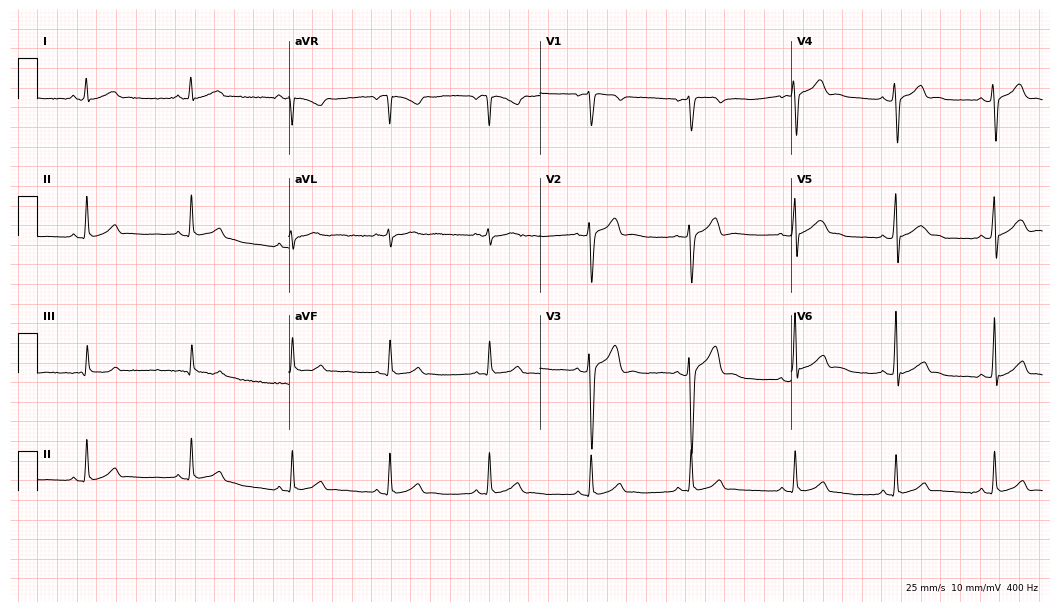
12-lead ECG from a man, 29 years old. Labelled as a normal ECG.